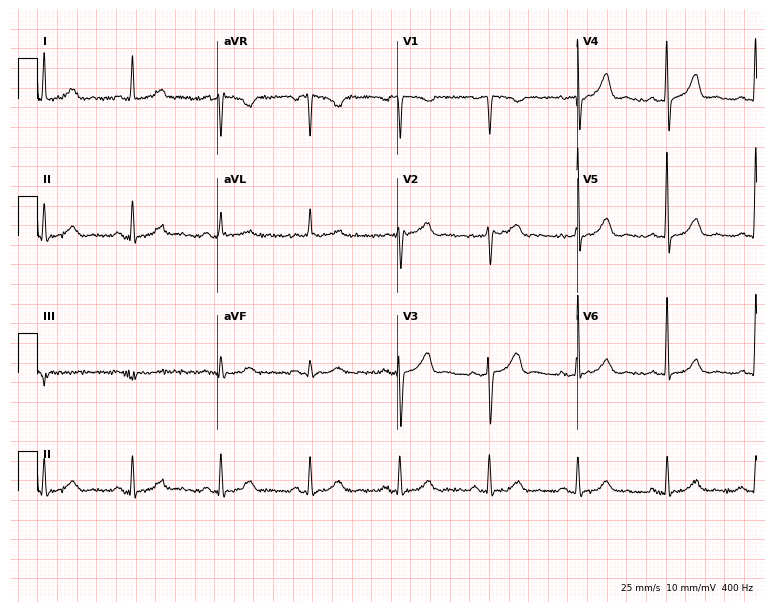
12-lead ECG from a female, 71 years old. Screened for six findings — first-degree AV block, right bundle branch block, left bundle branch block, sinus bradycardia, atrial fibrillation, sinus tachycardia — none is recorded. Other findings, if any, are not listed.